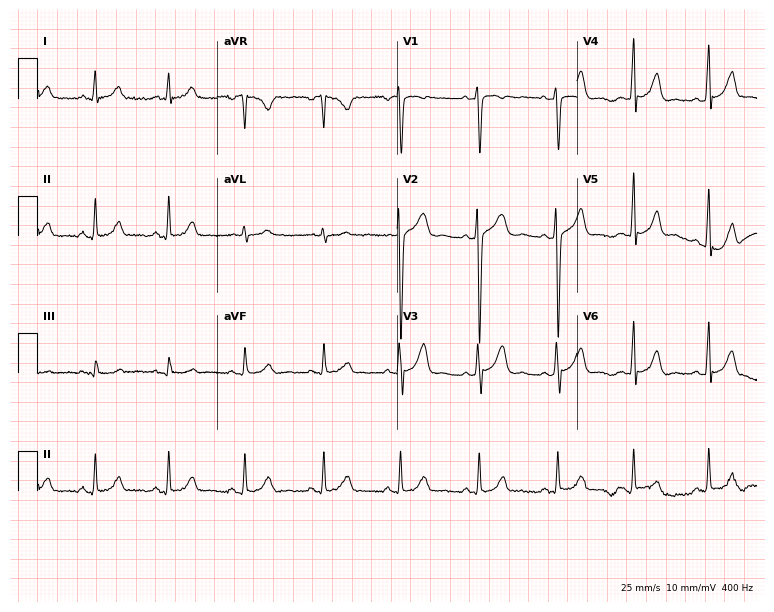
ECG (7.3-second recording at 400 Hz) — a female patient, 19 years old. Screened for six findings — first-degree AV block, right bundle branch block (RBBB), left bundle branch block (LBBB), sinus bradycardia, atrial fibrillation (AF), sinus tachycardia — none is recorded.